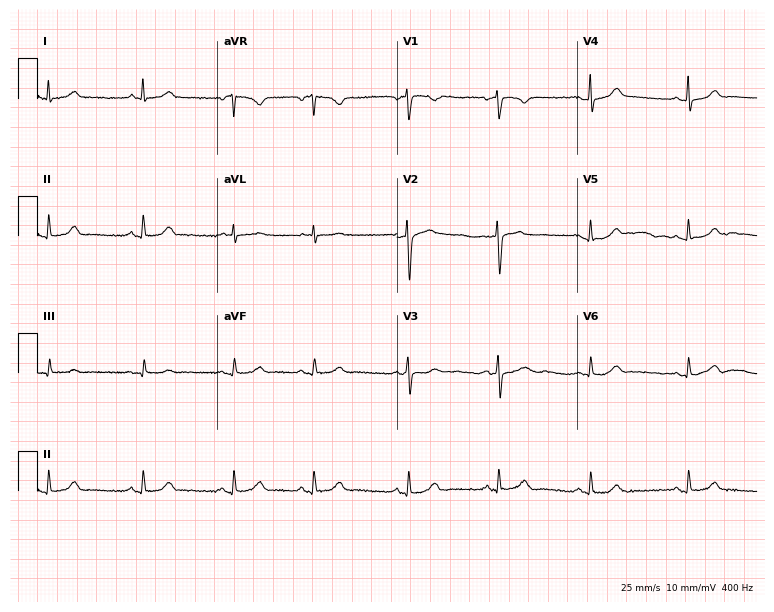
12-lead ECG (7.3-second recording at 400 Hz) from a woman, 34 years old. Labelled as a normal ECG.